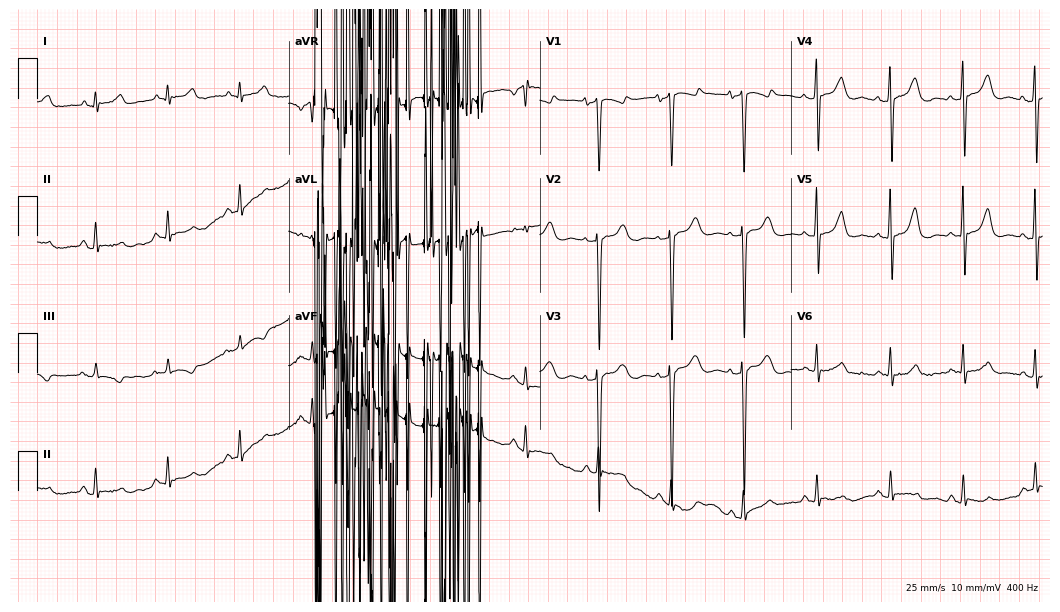
12-lead ECG from a 60-year-old male. No first-degree AV block, right bundle branch block, left bundle branch block, sinus bradycardia, atrial fibrillation or sinus tachycardia recorded for this tracing. Findings outside these six are not listed.